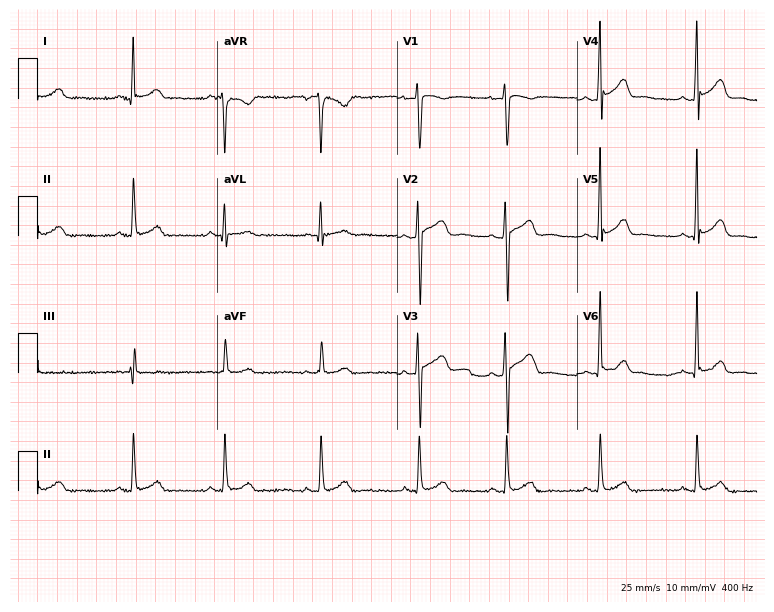
Resting 12-lead electrocardiogram. Patient: a female, 22 years old. Read as a normal ECG.